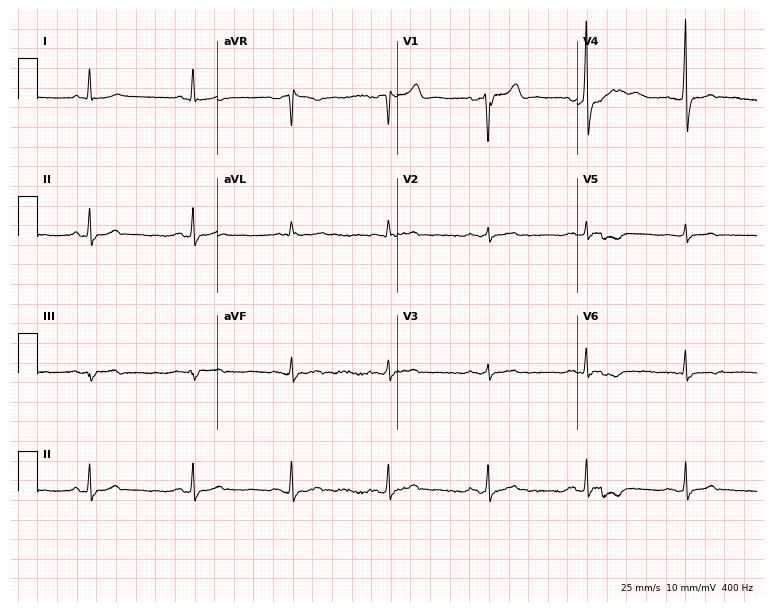
ECG — a 73-year-old male patient. Screened for six findings — first-degree AV block, right bundle branch block (RBBB), left bundle branch block (LBBB), sinus bradycardia, atrial fibrillation (AF), sinus tachycardia — none is recorded.